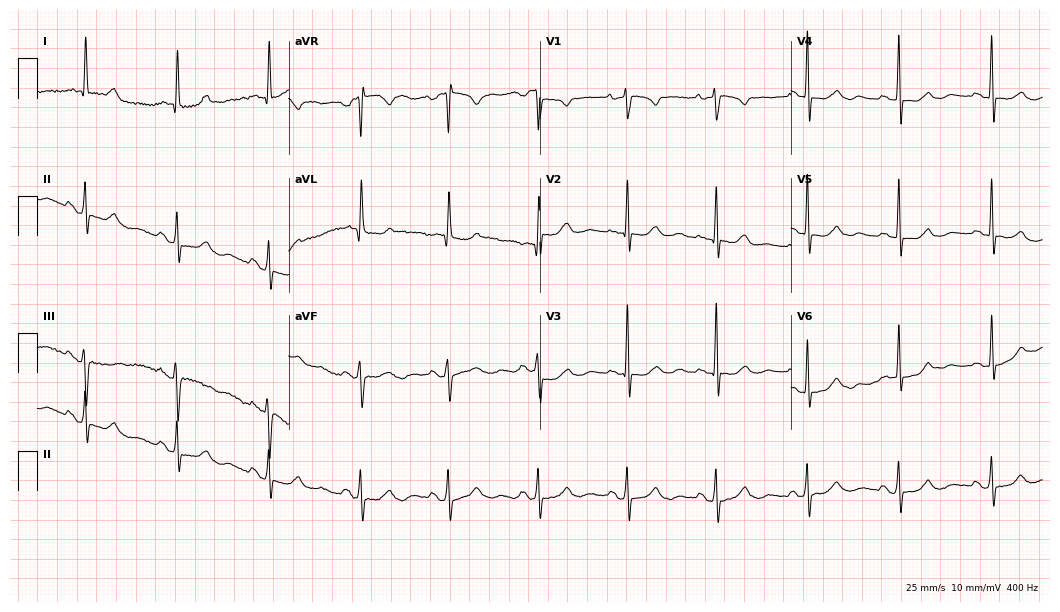
Electrocardiogram, a female, 80 years old. Of the six screened findings (first-degree AV block, right bundle branch block, left bundle branch block, sinus bradycardia, atrial fibrillation, sinus tachycardia), none is recorded. Findings outside these six are not listed.